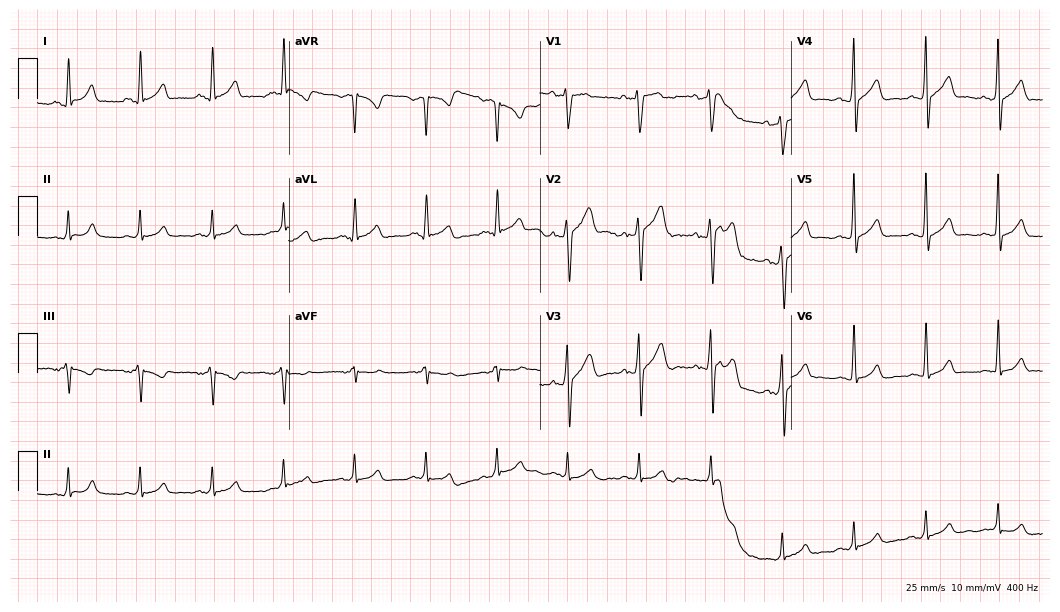
Standard 12-lead ECG recorded from a male, 36 years old (10.2-second recording at 400 Hz). Read as a normal ECG.